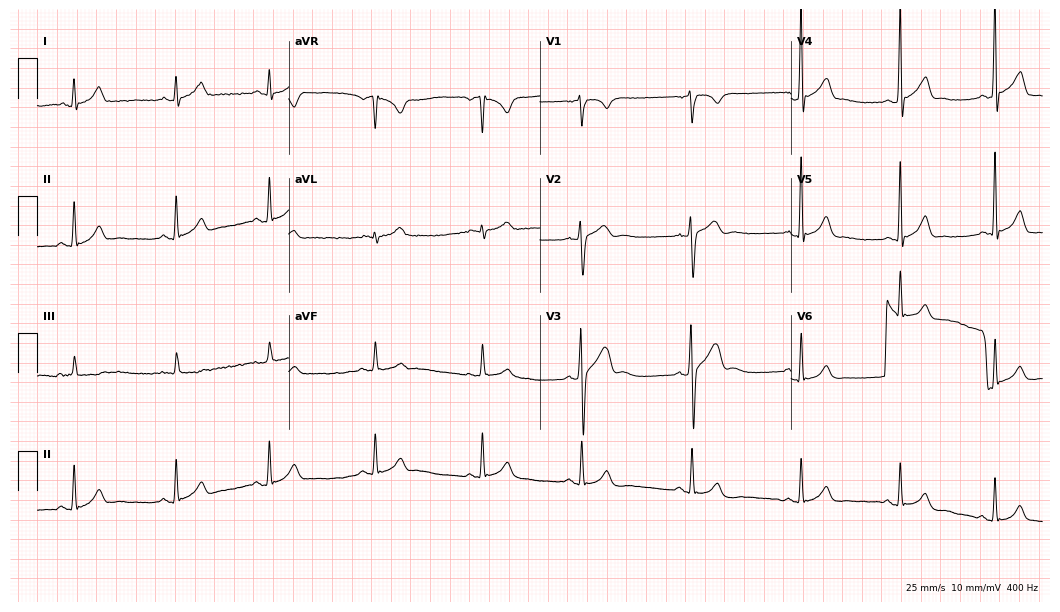
Electrocardiogram (10.2-second recording at 400 Hz), a 31-year-old male patient. Of the six screened findings (first-degree AV block, right bundle branch block (RBBB), left bundle branch block (LBBB), sinus bradycardia, atrial fibrillation (AF), sinus tachycardia), none is recorded.